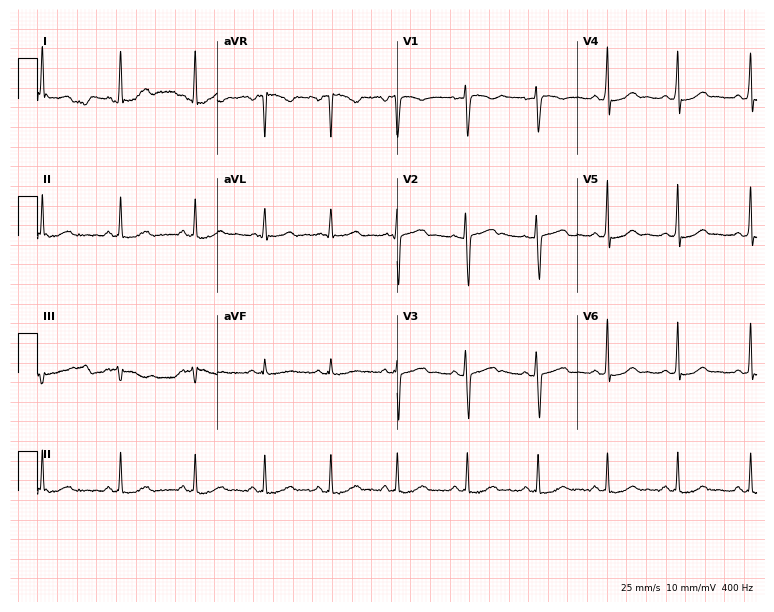
12-lead ECG from a female patient, 40 years old (7.3-second recording at 400 Hz). Recorded interpretation: within normal limits.